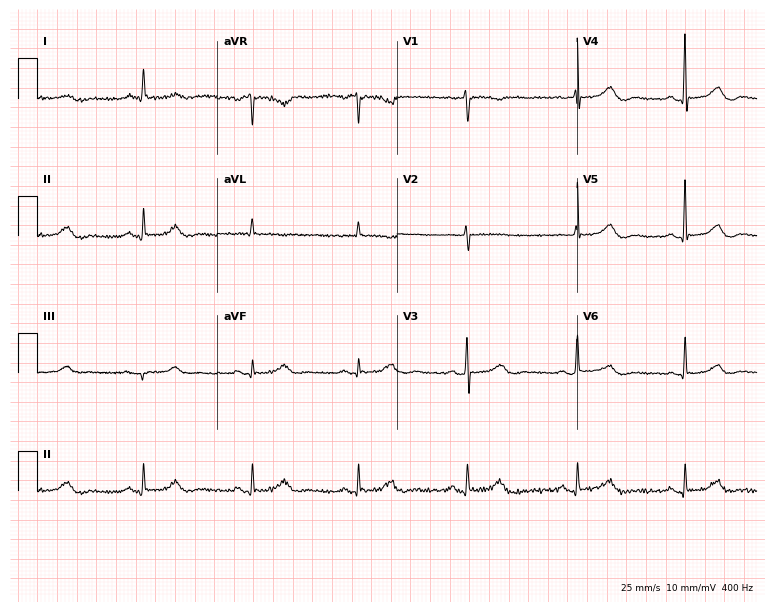
Electrocardiogram (7.3-second recording at 400 Hz), a 51-year-old female patient. Of the six screened findings (first-degree AV block, right bundle branch block, left bundle branch block, sinus bradycardia, atrial fibrillation, sinus tachycardia), none is recorded. Findings outside these six are not listed.